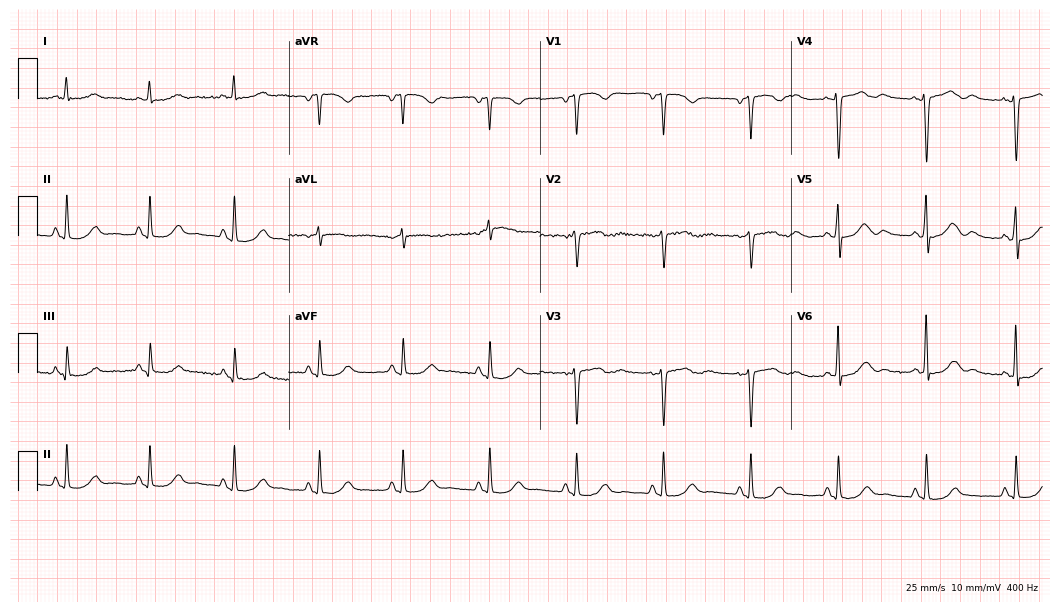
12-lead ECG from a female patient, 74 years old (10.2-second recording at 400 Hz). No first-degree AV block, right bundle branch block, left bundle branch block, sinus bradycardia, atrial fibrillation or sinus tachycardia recorded for this tracing. Only these six findings were labelled.